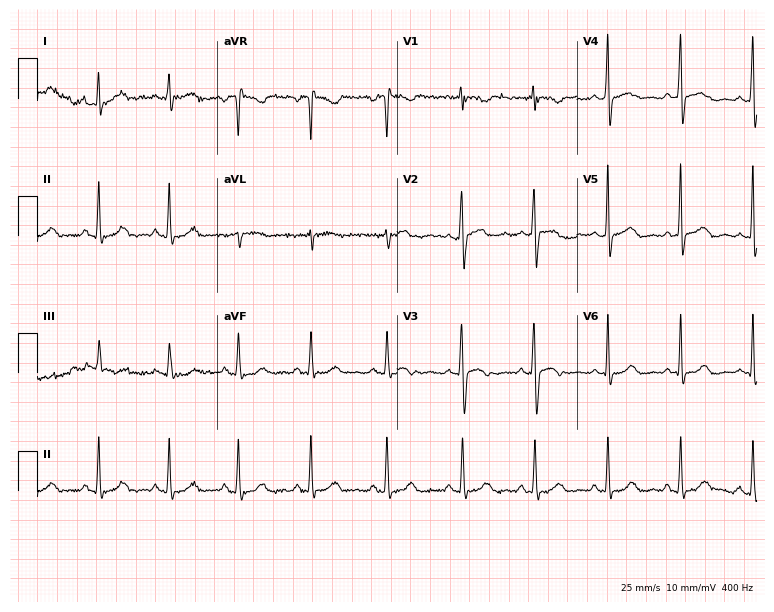
12-lead ECG (7.3-second recording at 400 Hz) from a woman, 36 years old. Screened for six findings — first-degree AV block, right bundle branch block, left bundle branch block, sinus bradycardia, atrial fibrillation, sinus tachycardia — none is recorded.